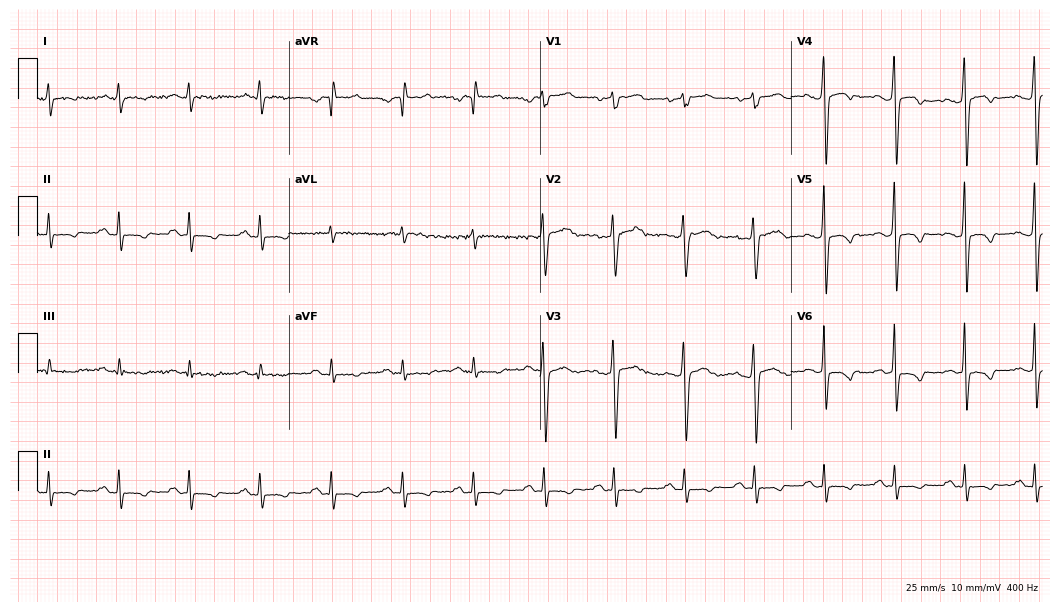
Resting 12-lead electrocardiogram (10.2-second recording at 400 Hz). Patient: a 58-year-old male. None of these six findings is recorded: first-degree AV block, right bundle branch block, left bundle branch block, sinus bradycardia, atrial fibrillation, sinus tachycardia. Other findings, if any, are not listed.